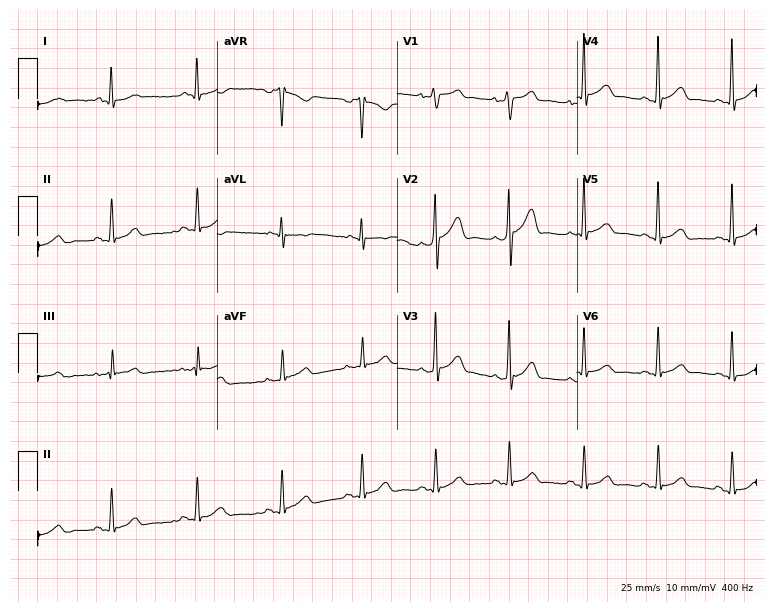
12-lead ECG from a man, 27 years old. Screened for six findings — first-degree AV block, right bundle branch block, left bundle branch block, sinus bradycardia, atrial fibrillation, sinus tachycardia — none is recorded.